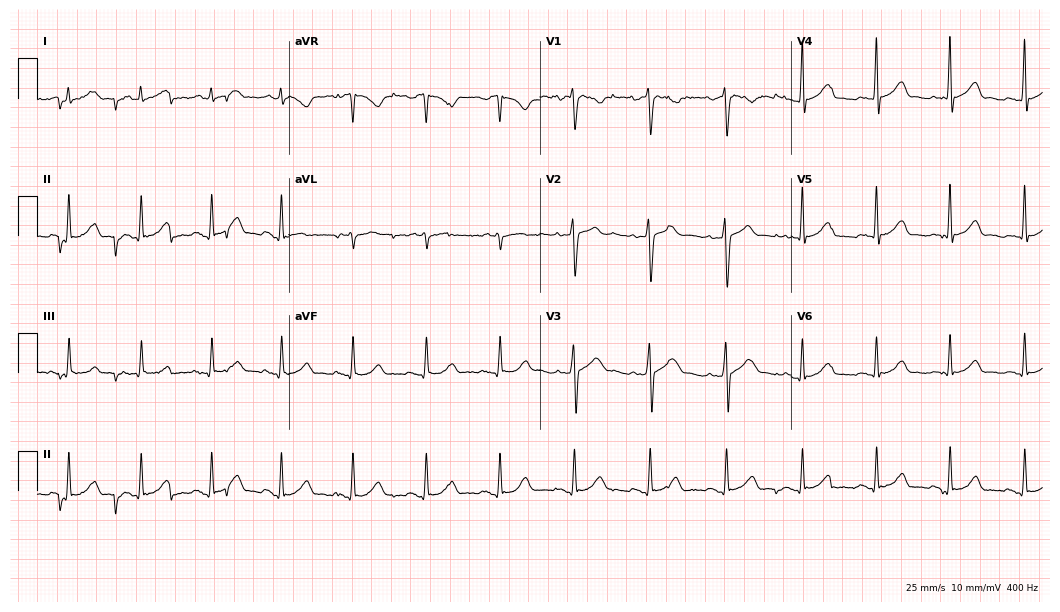
12-lead ECG from a male, 32 years old. Recorded interpretation: within normal limits.